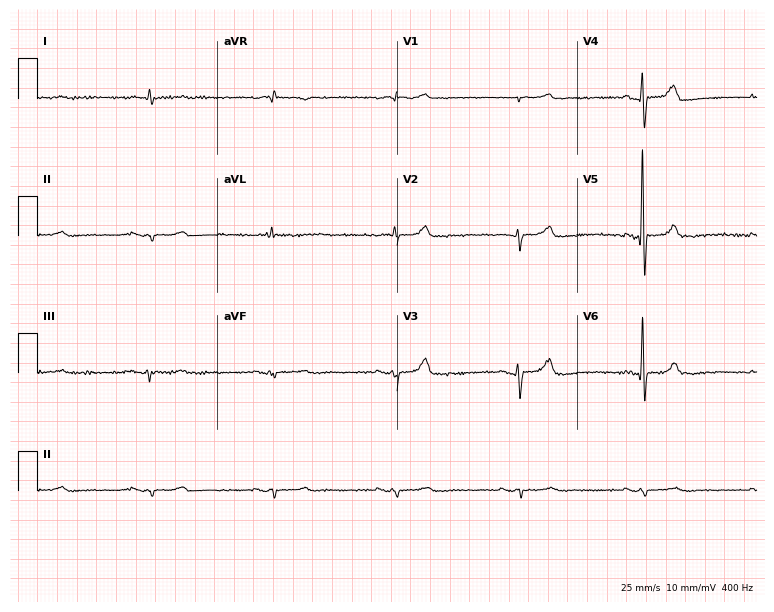
Electrocardiogram (7.3-second recording at 400 Hz), a male, 74 years old. Of the six screened findings (first-degree AV block, right bundle branch block, left bundle branch block, sinus bradycardia, atrial fibrillation, sinus tachycardia), none is recorded. Only these six findings were labelled.